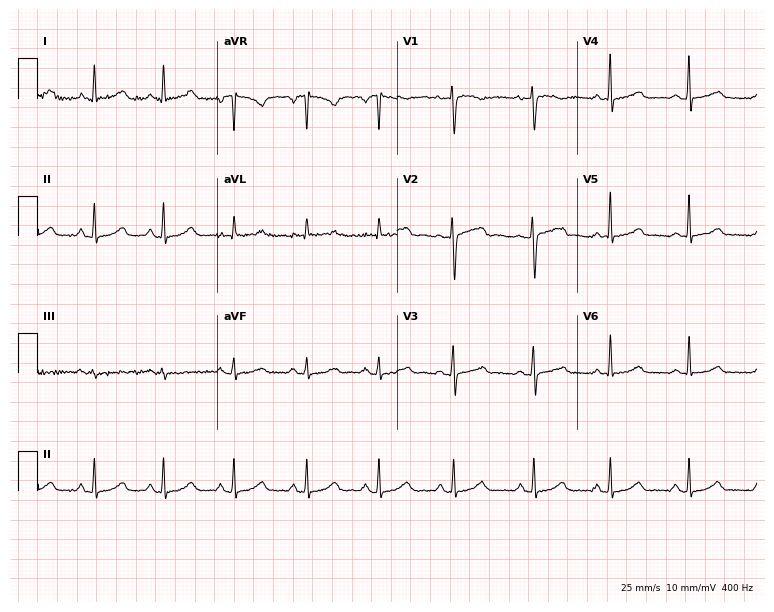
Resting 12-lead electrocardiogram (7.3-second recording at 400 Hz). Patient: a 41-year-old female. Read as a normal ECG.